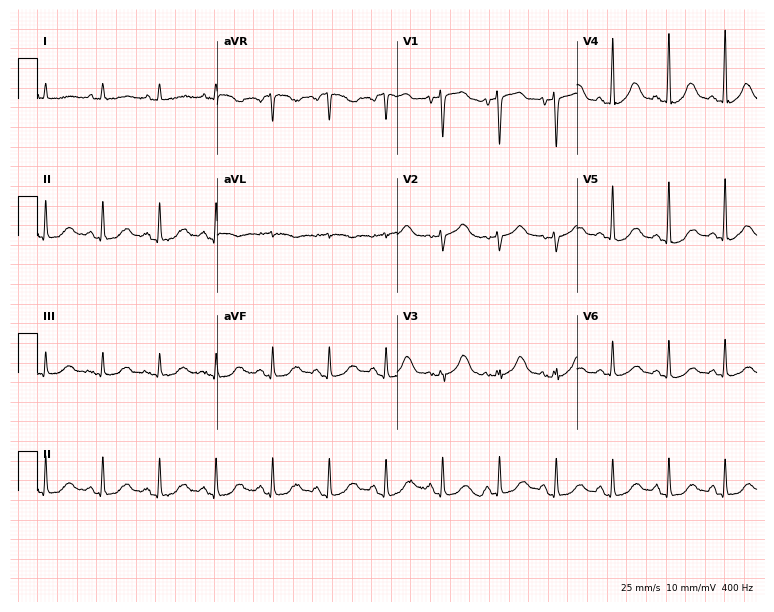
Resting 12-lead electrocardiogram (7.3-second recording at 400 Hz). Patient: an 81-year-old female. The tracing shows sinus tachycardia (a sinus rate of 100 beats per minute or more).